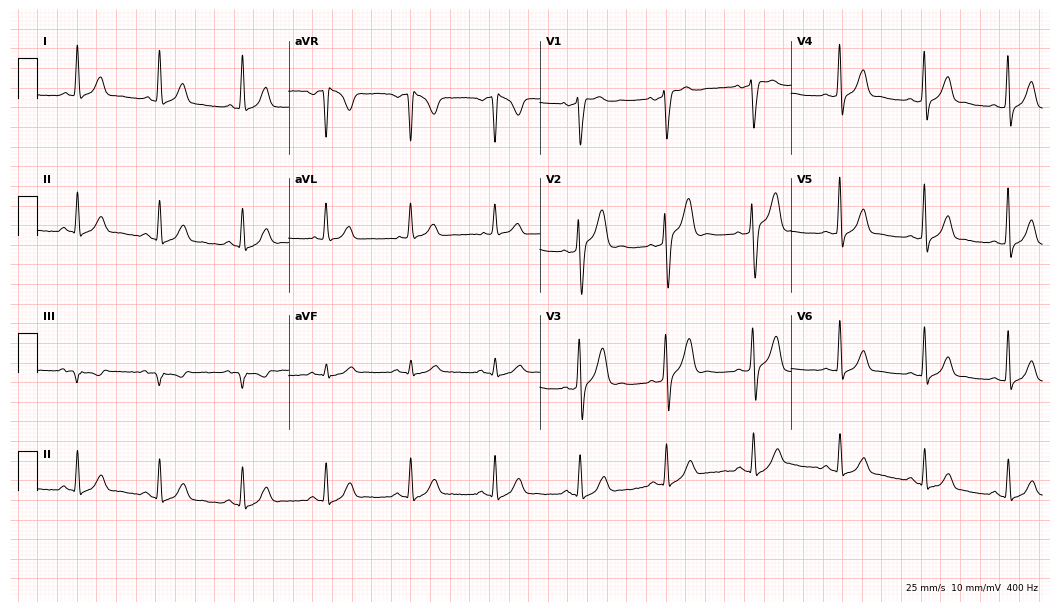
12-lead ECG from a man, 51 years old (10.2-second recording at 400 Hz). No first-degree AV block, right bundle branch block, left bundle branch block, sinus bradycardia, atrial fibrillation or sinus tachycardia recorded for this tracing. Other findings, if any, are not listed.